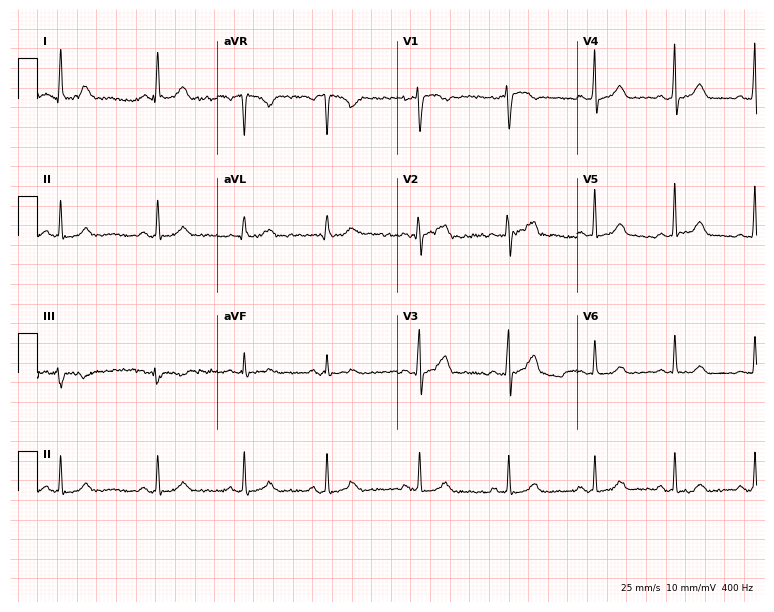
ECG (7.3-second recording at 400 Hz) — a 47-year-old female patient. Labelled as a normal ECG.